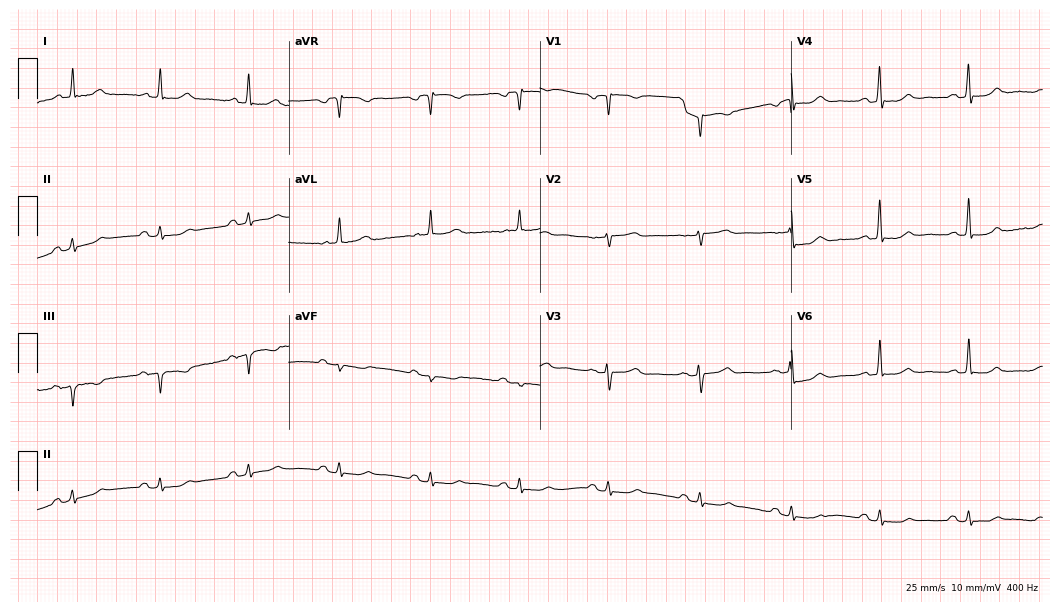
12-lead ECG from a female, 35 years old. Labelled as a normal ECG.